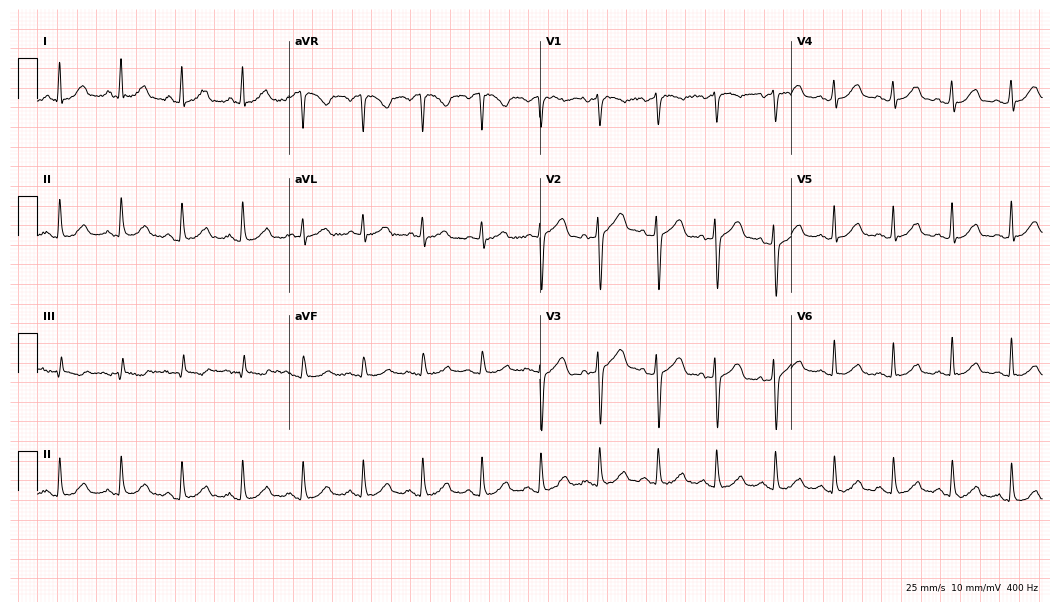
Standard 12-lead ECG recorded from a woman, 67 years old. None of these six findings is recorded: first-degree AV block, right bundle branch block, left bundle branch block, sinus bradycardia, atrial fibrillation, sinus tachycardia.